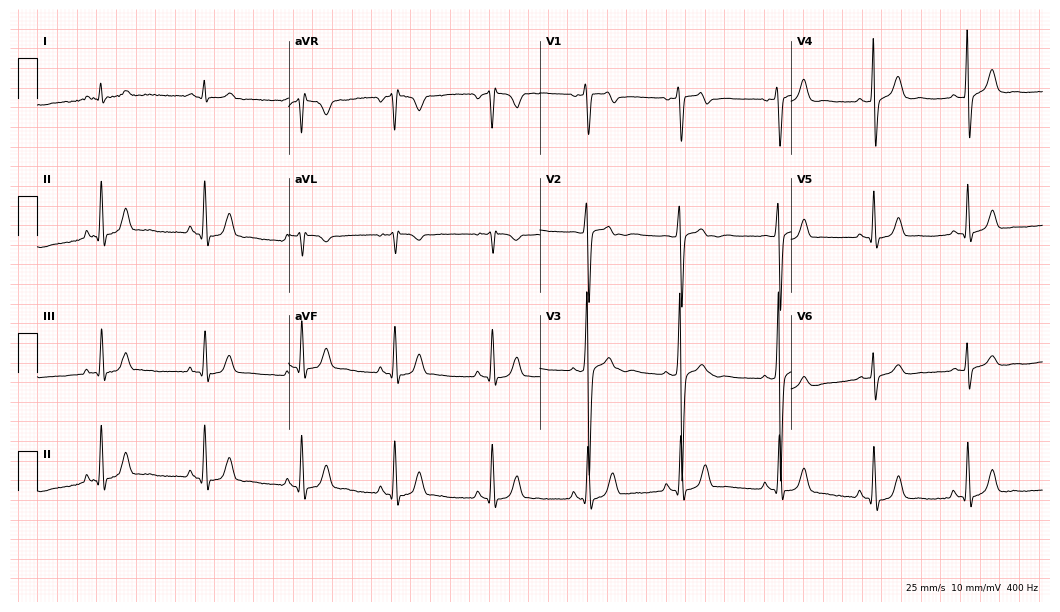
Resting 12-lead electrocardiogram (10.2-second recording at 400 Hz). Patient: a 30-year-old male. Read as a normal ECG.